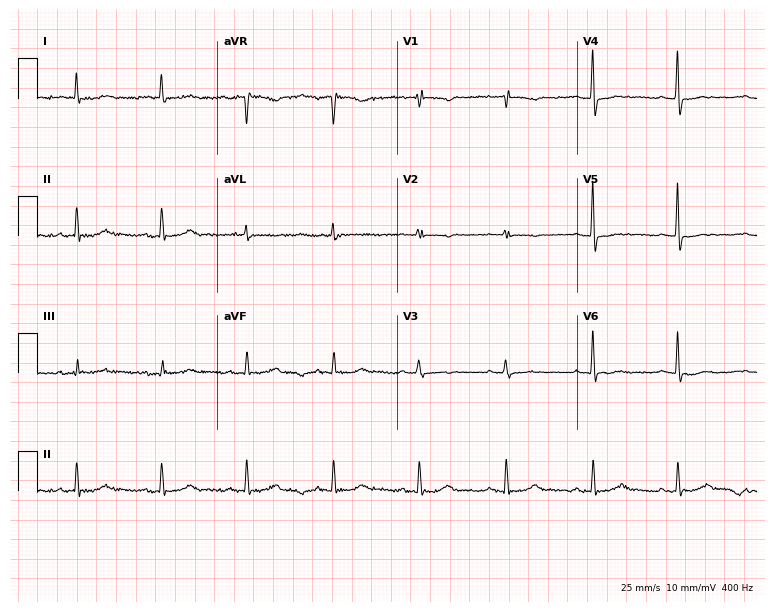
Standard 12-lead ECG recorded from a female, 63 years old. None of these six findings is recorded: first-degree AV block, right bundle branch block, left bundle branch block, sinus bradycardia, atrial fibrillation, sinus tachycardia. Findings outside these six are not listed.